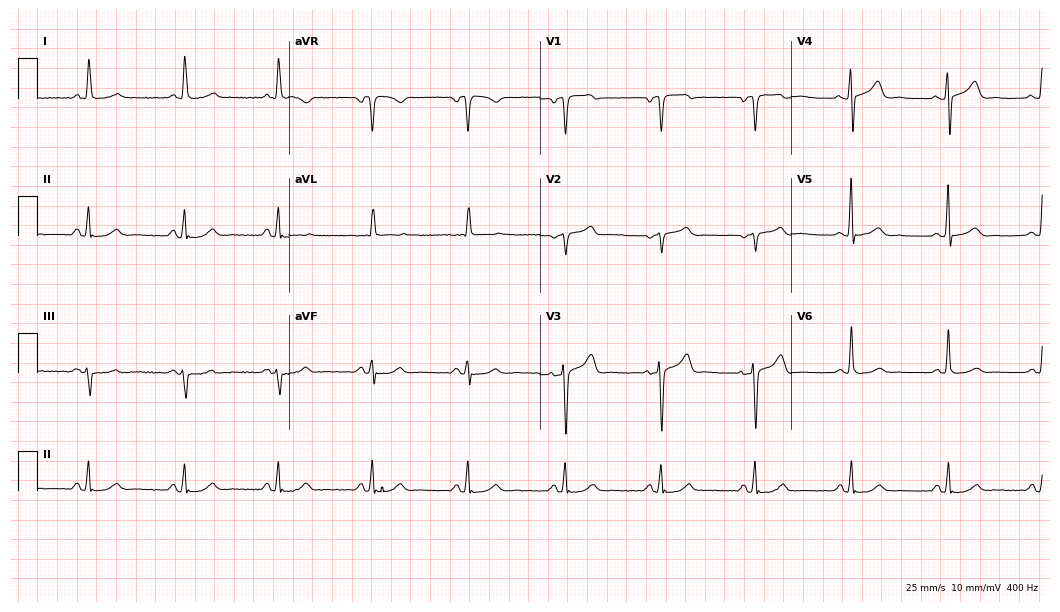
12-lead ECG from a female, 65 years old (10.2-second recording at 400 Hz). Recorded interpretation: within normal limits.